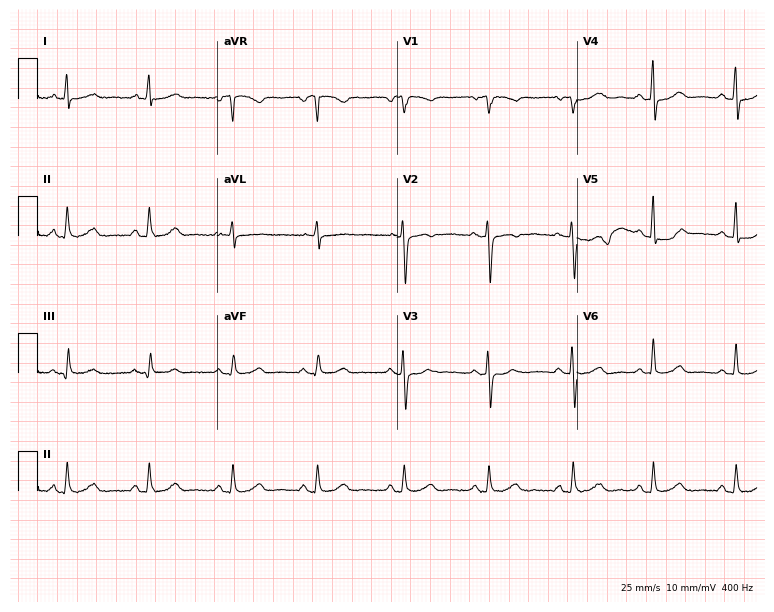
12-lead ECG from a 67-year-old female patient (7.3-second recording at 400 Hz). Recorded interpretation: within normal limits.